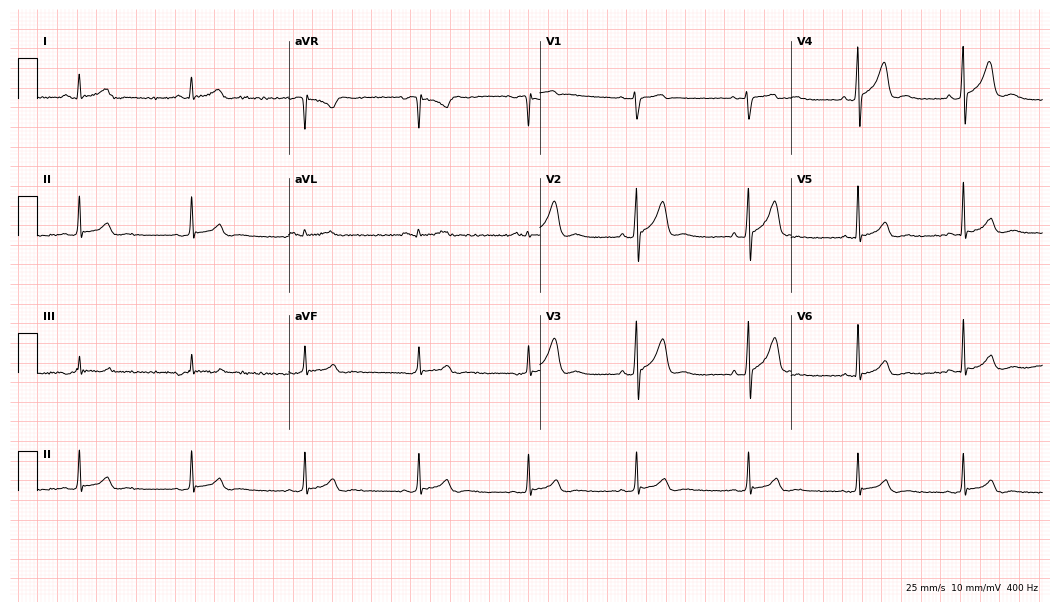
Resting 12-lead electrocardiogram. Patient: a 35-year-old male. Read as a normal ECG.